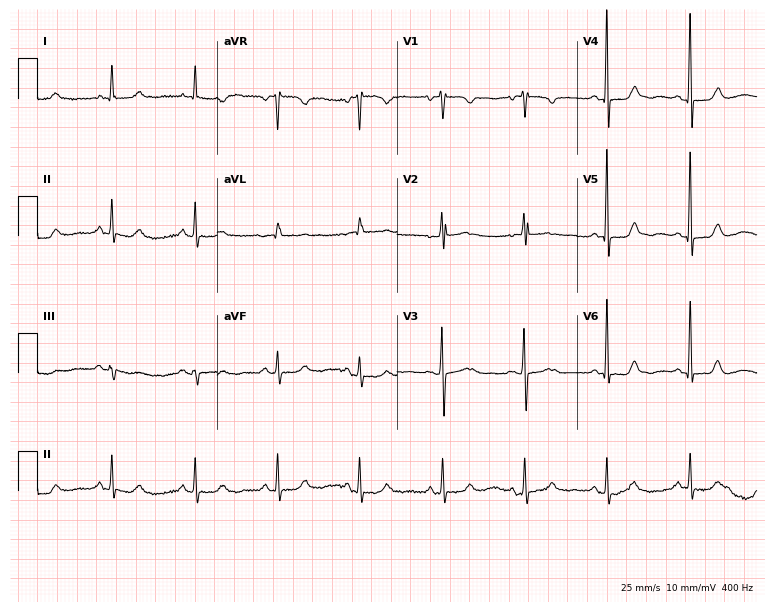
Electrocardiogram (7.3-second recording at 400 Hz), a female patient, 66 years old. Of the six screened findings (first-degree AV block, right bundle branch block (RBBB), left bundle branch block (LBBB), sinus bradycardia, atrial fibrillation (AF), sinus tachycardia), none is recorded.